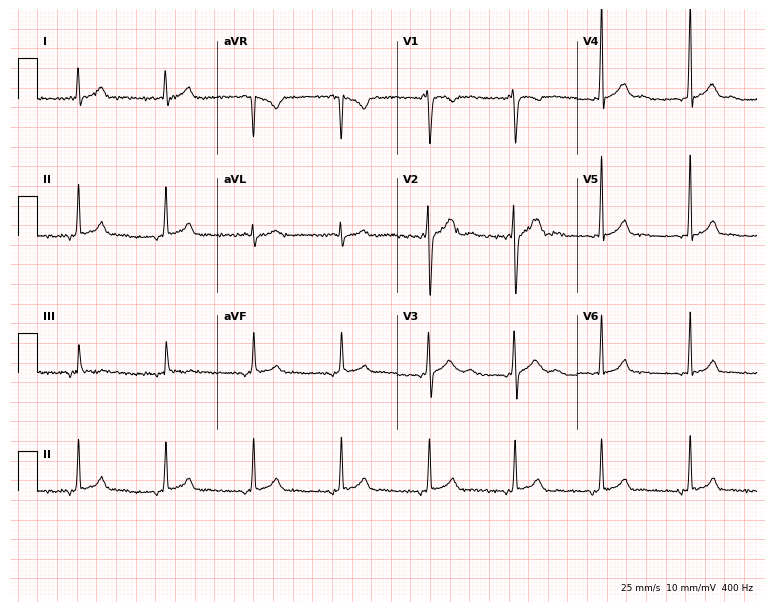
Electrocardiogram, a male patient, 17 years old. Of the six screened findings (first-degree AV block, right bundle branch block, left bundle branch block, sinus bradycardia, atrial fibrillation, sinus tachycardia), none is recorded. Other findings, if any, are not listed.